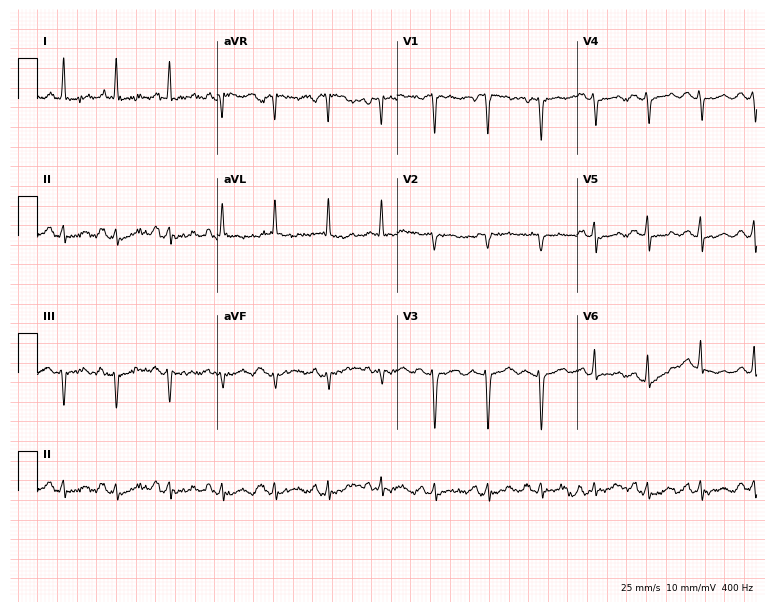
Electrocardiogram, a female patient, 54 years old. Interpretation includes sinus tachycardia (a sinus rate of 100 beats per minute or more).